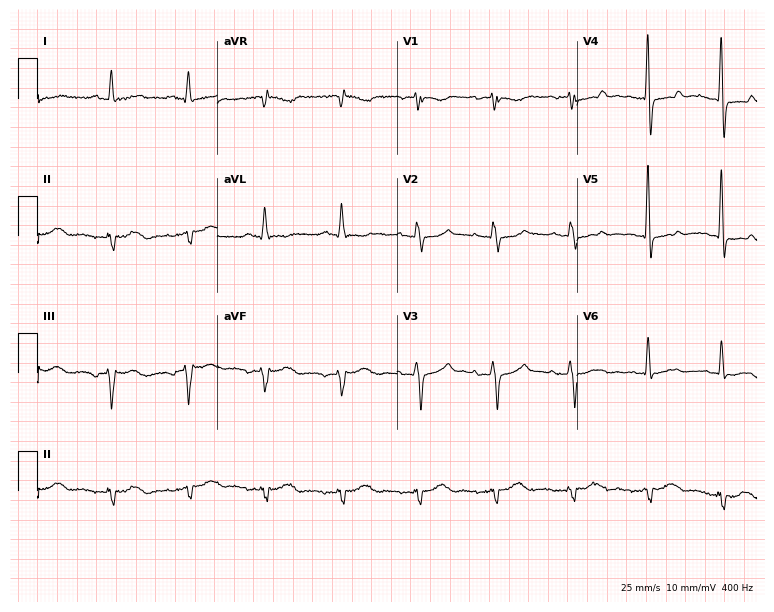
Electrocardiogram, a male, 47 years old. Of the six screened findings (first-degree AV block, right bundle branch block, left bundle branch block, sinus bradycardia, atrial fibrillation, sinus tachycardia), none is recorded.